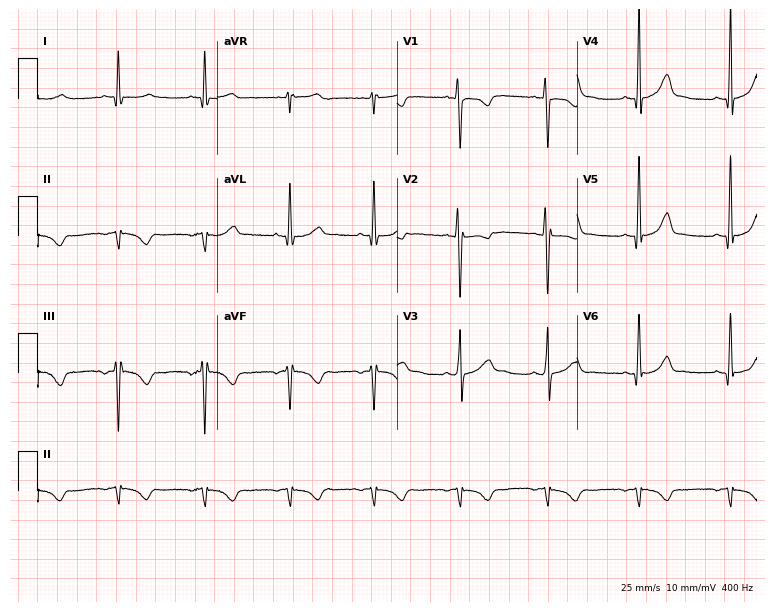
Electrocardiogram (7.3-second recording at 400 Hz), a 17-year-old woman. Of the six screened findings (first-degree AV block, right bundle branch block (RBBB), left bundle branch block (LBBB), sinus bradycardia, atrial fibrillation (AF), sinus tachycardia), none is recorded.